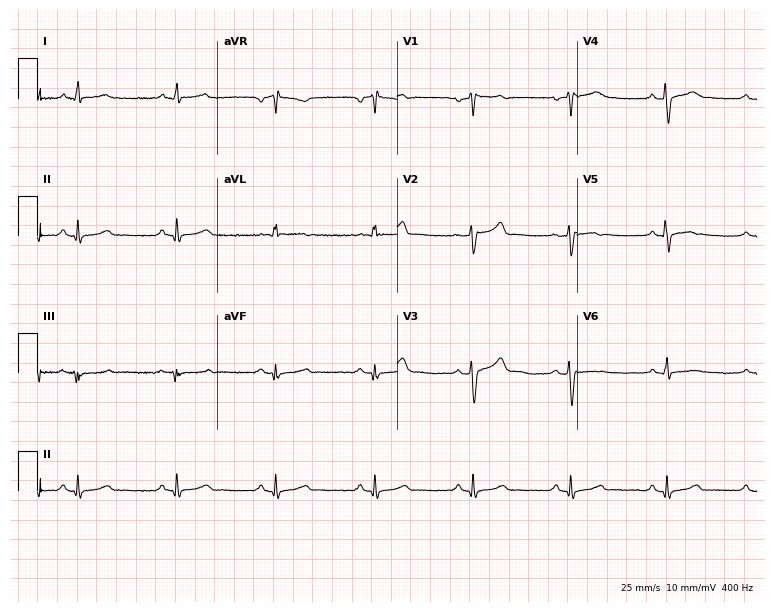
12-lead ECG from a male, 55 years old. No first-degree AV block, right bundle branch block, left bundle branch block, sinus bradycardia, atrial fibrillation or sinus tachycardia recorded for this tracing.